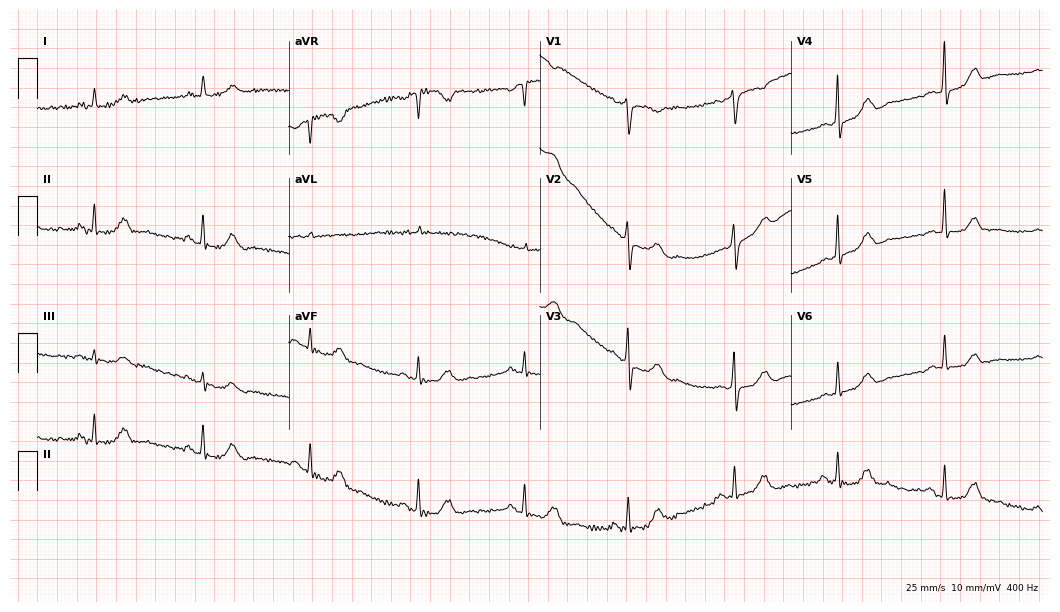
Standard 12-lead ECG recorded from a female patient, 64 years old (10.2-second recording at 400 Hz). None of these six findings is recorded: first-degree AV block, right bundle branch block, left bundle branch block, sinus bradycardia, atrial fibrillation, sinus tachycardia. Other findings, if any, are not listed.